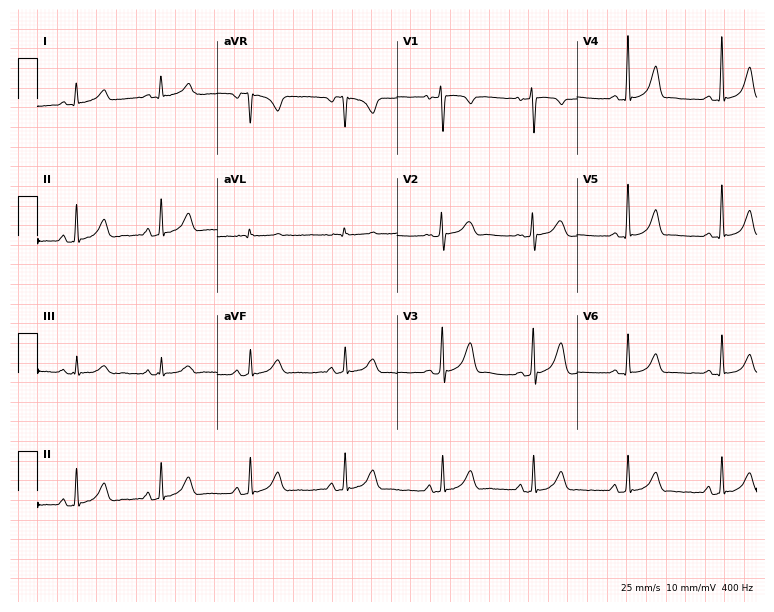
ECG — a 40-year-old female. Screened for six findings — first-degree AV block, right bundle branch block (RBBB), left bundle branch block (LBBB), sinus bradycardia, atrial fibrillation (AF), sinus tachycardia — none is recorded. Only these six findings were labelled.